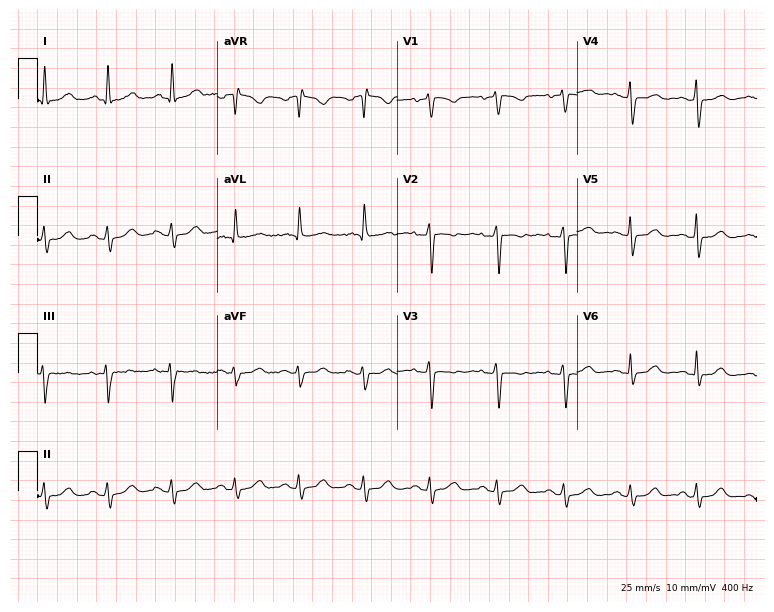
ECG — a 71-year-old female patient. Screened for six findings — first-degree AV block, right bundle branch block (RBBB), left bundle branch block (LBBB), sinus bradycardia, atrial fibrillation (AF), sinus tachycardia — none is recorded. Findings outside these six are not listed.